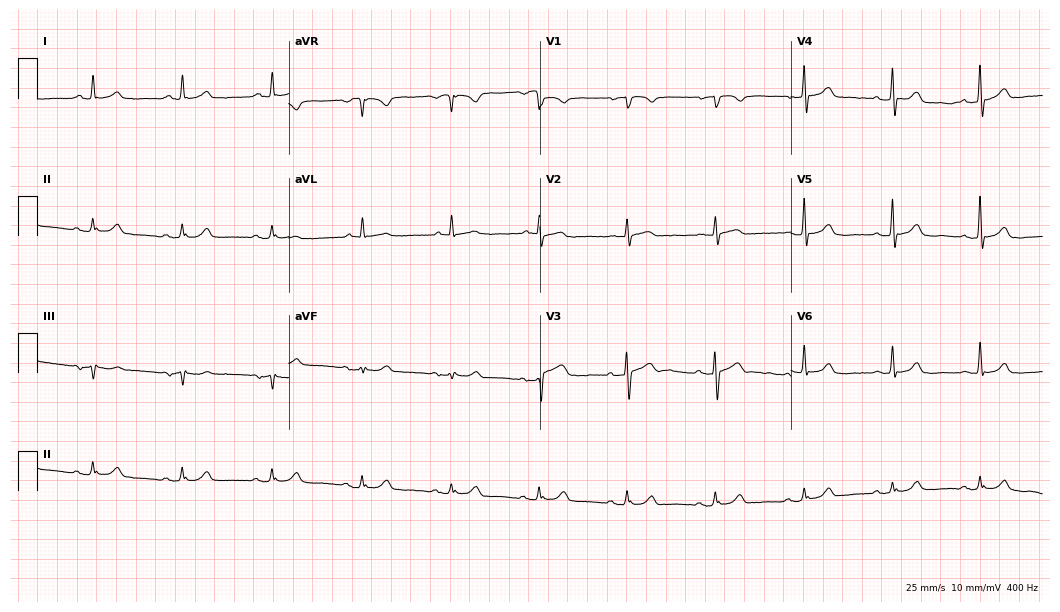
12-lead ECG from a male, 84 years old. Recorded interpretation: within normal limits.